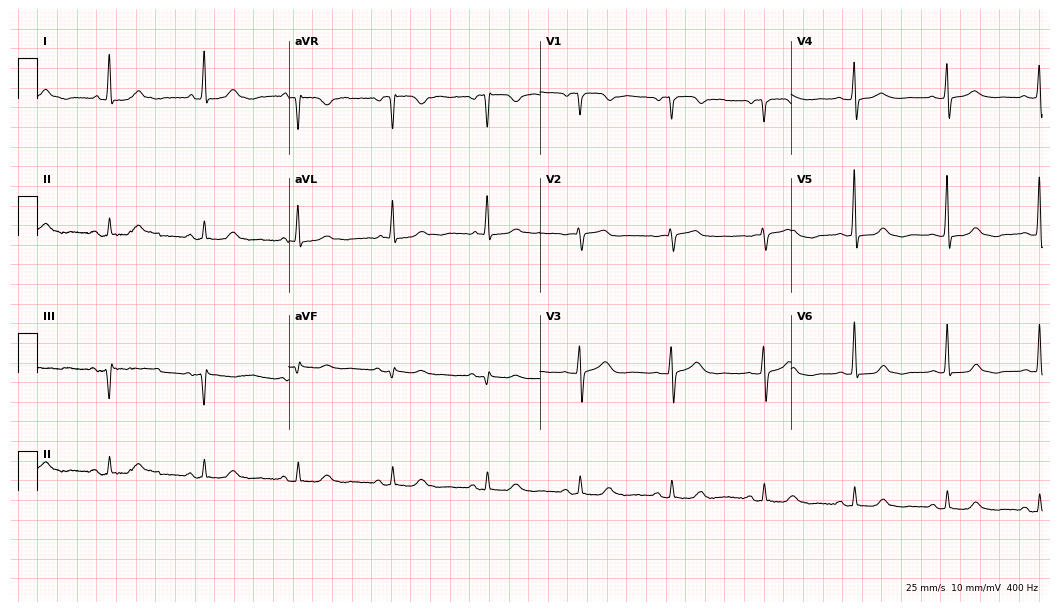
12-lead ECG from a woman, 73 years old. Screened for six findings — first-degree AV block, right bundle branch block, left bundle branch block, sinus bradycardia, atrial fibrillation, sinus tachycardia — none is recorded. Other findings, if any, are not listed.